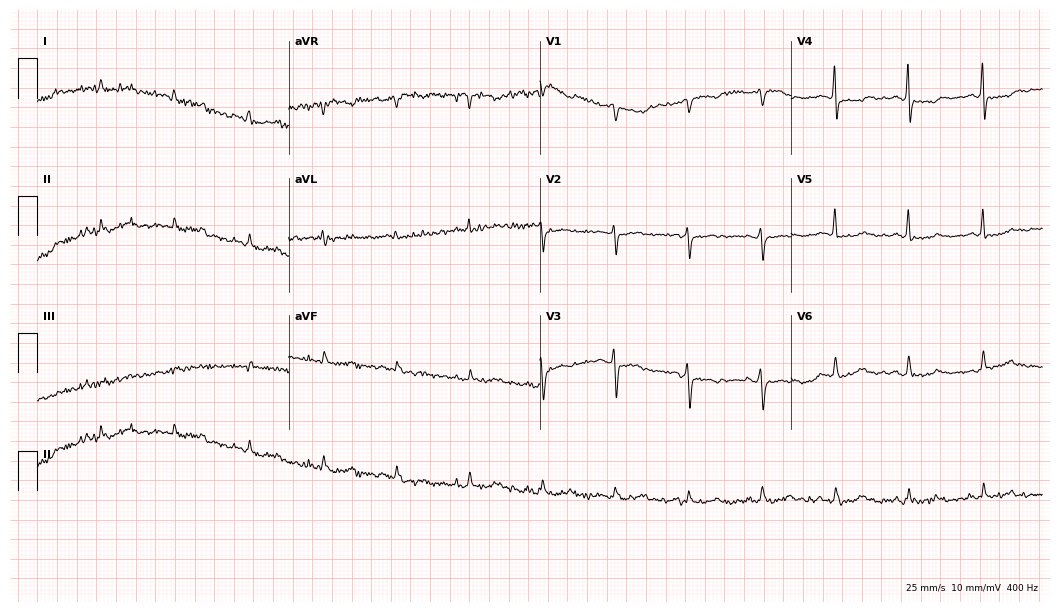
Standard 12-lead ECG recorded from a 45-year-old female. None of these six findings is recorded: first-degree AV block, right bundle branch block, left bundle branch block, sinus bradycardia, atrial fibrillation, sinus tachycardia.